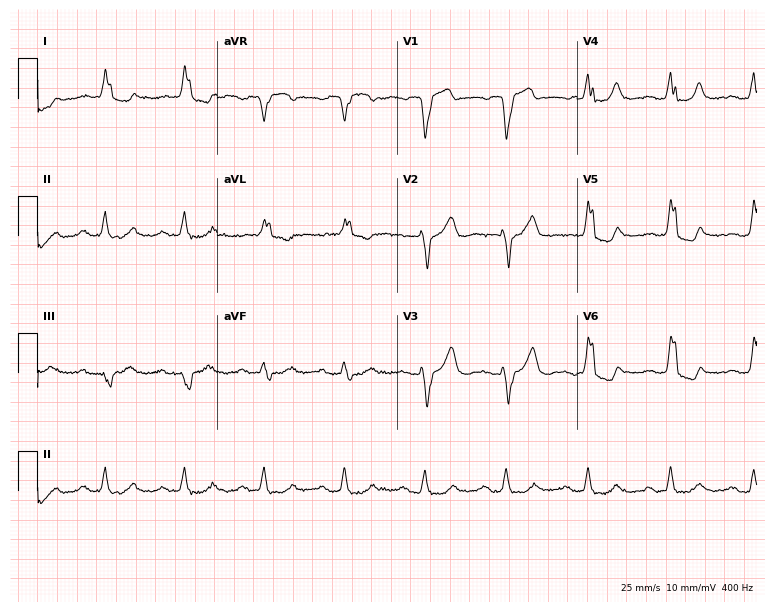
Standard 12-lead ECG recorded from a 77-year-old female. The tracing shows left bundle branch block (LBBB).